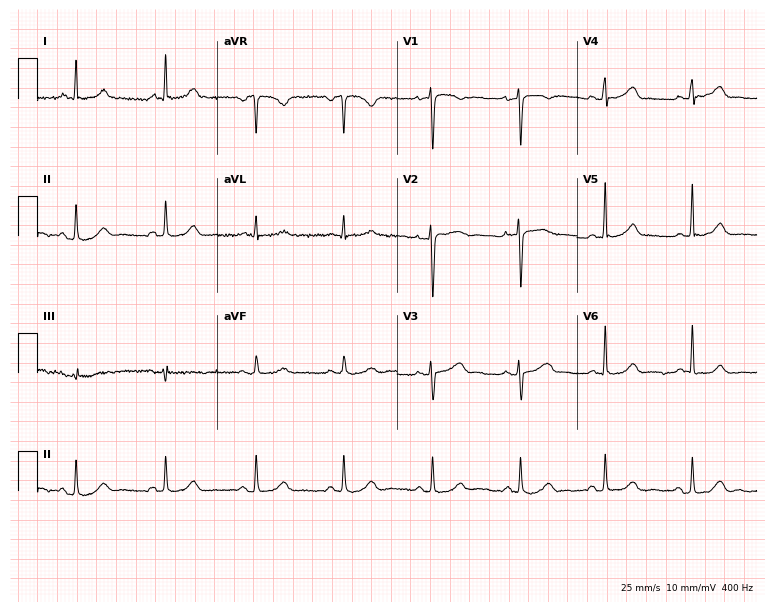
Resting 12-lead electrocardiogram. Patient: a female, 40 years old. None of these six findings is recorded: first-degree AV block, right bundle branch block, left bundle branch block, sinus bradycardia, atrial fibrillation, sinus tachycardia. Other findings, if any, are not listed.